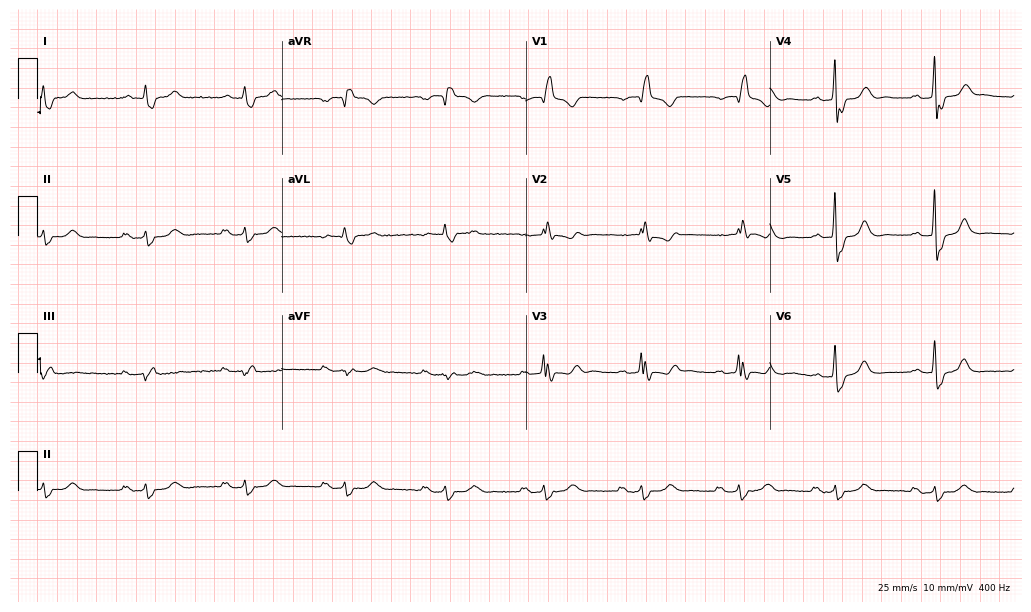
12-lead ECG from a 71-year-old male. Shows right bundle branch block.